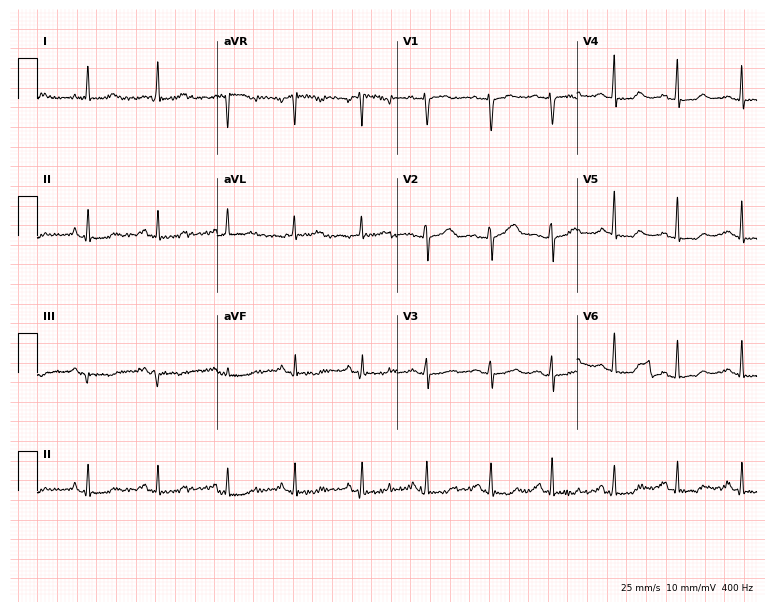
12-lead ECG from a 63-year-old female patient. No first-degree AV block, right bundle branch block (RBBB), left bundle branch block (LBBB), sinus bradycardia, atrial fibrillation (AF) or sinus tachycardia recorded for this tracing. Other findings, if any, are not listed.